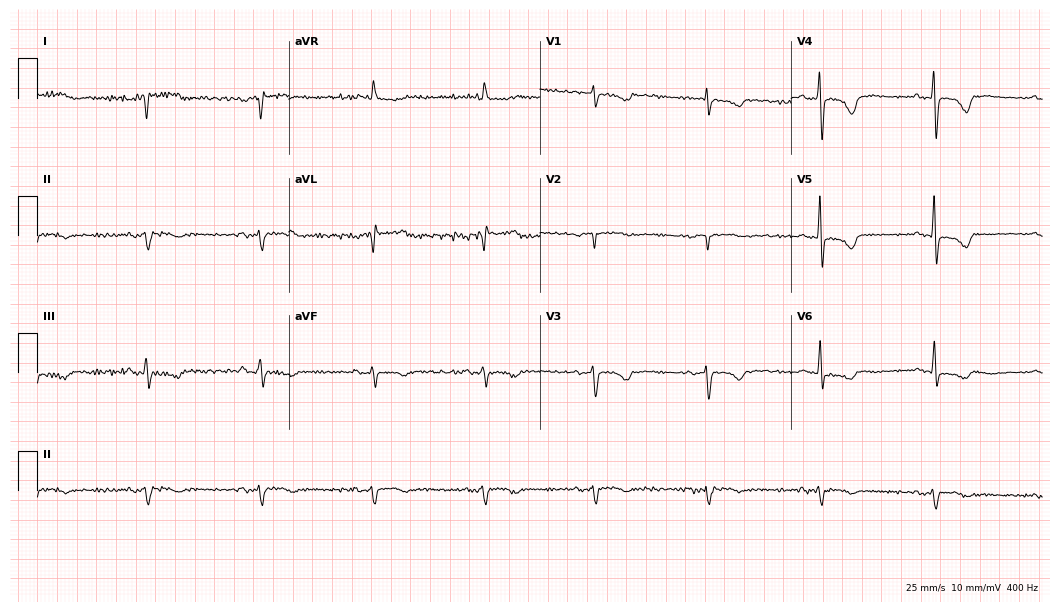
Standard 12-lead ECG recorded from a female, 74 years old (10.2-second recording at 400 Hz). Read as a normal ECG.